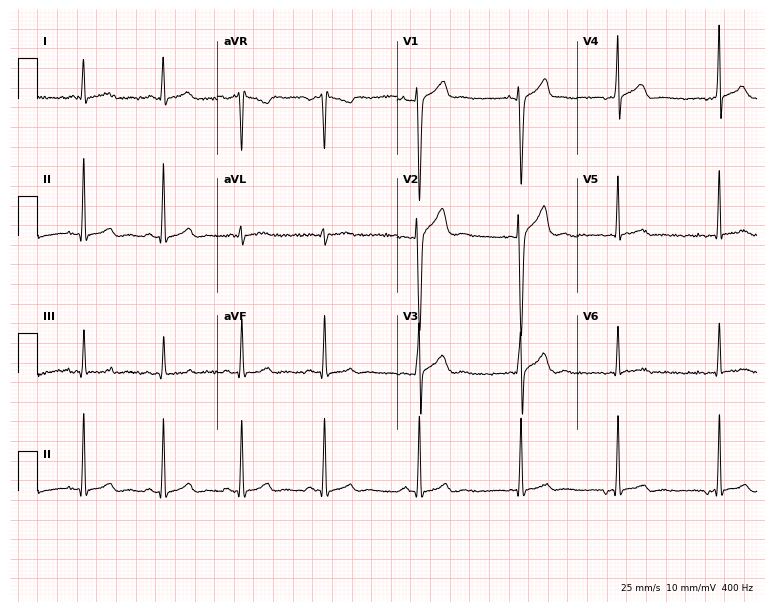
Resting 12-lead electrocardiogram (7.3-second recording at 400 Hz). Patient: a 21-year-old female. None of these six findings is recorded: first-degree AV block, right bundle branch block, left bundle branch block, sinus bradycardia, atrial fibrillation, sinus tachycardia.